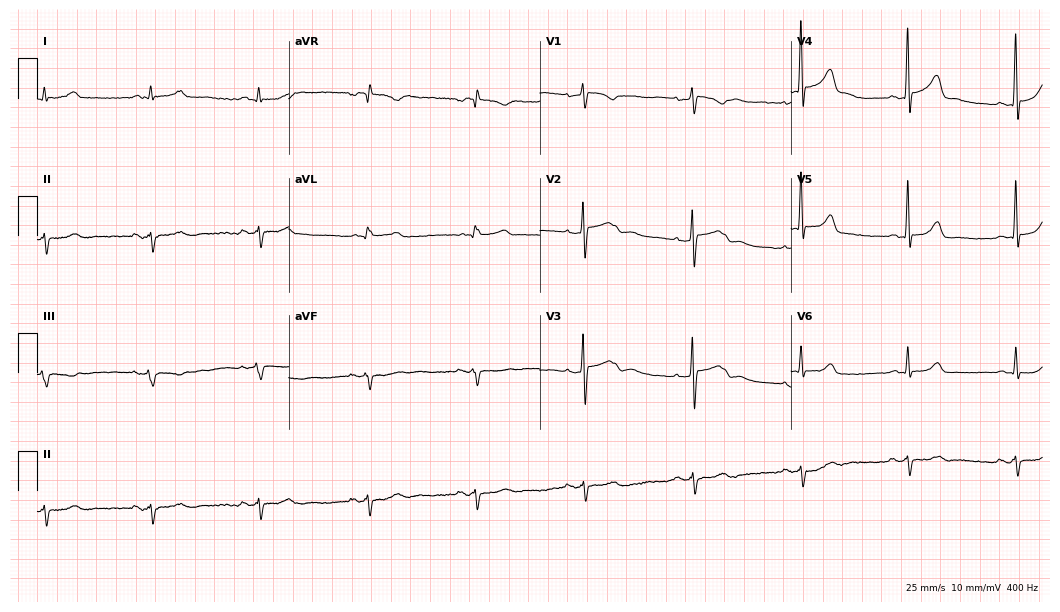
Standard 12-lead ECG recorded from a man, 41 years old (10.2-second recording at 400 Hz). None of these six findings is recorded: first-degree AV block, right bundle branch block, left bundle branch block, sinus bradycardia, atrial fibrillation, sinus tachycardia.